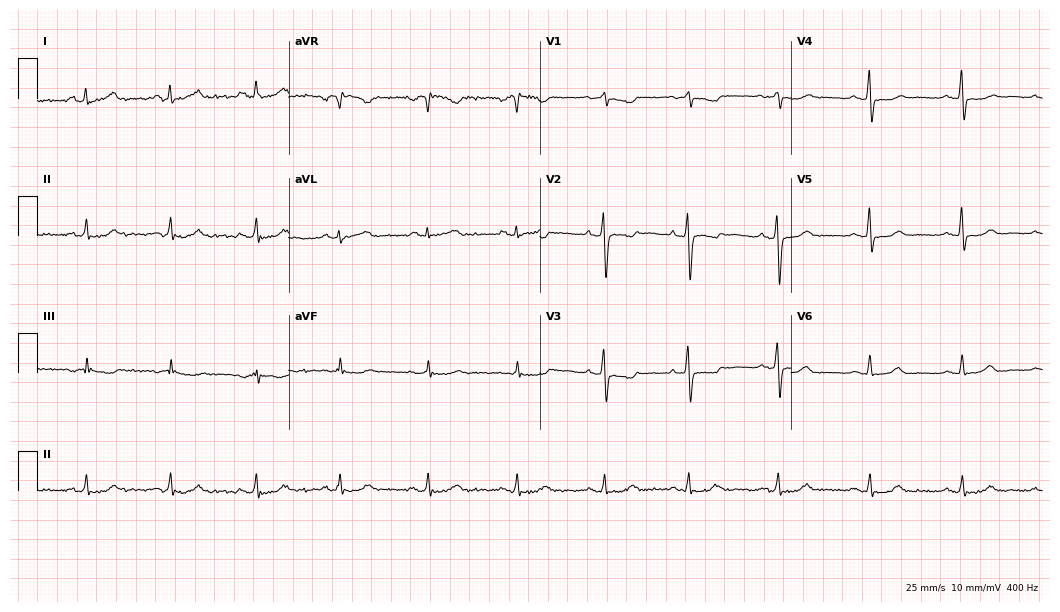
Resting 12-lead electrocardiogram (10.2-second recording at 400 Hz). Patient: a female, 38 years old. None of these six findings is recorded: first-degree AV block, right bundle branch block, left bundle branch block, sinus bradycardia, atrial fibrillation, sinus tachycardia.